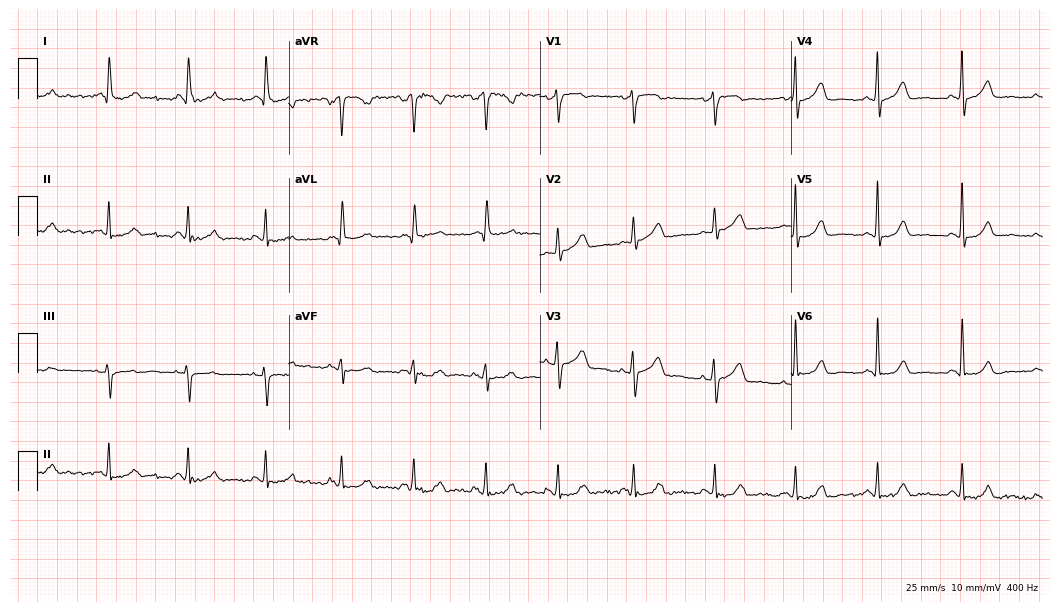
ECG (10.2-second recording at 400 Hz) — a 71-year-old female patient. Labelled as a normal ECG.